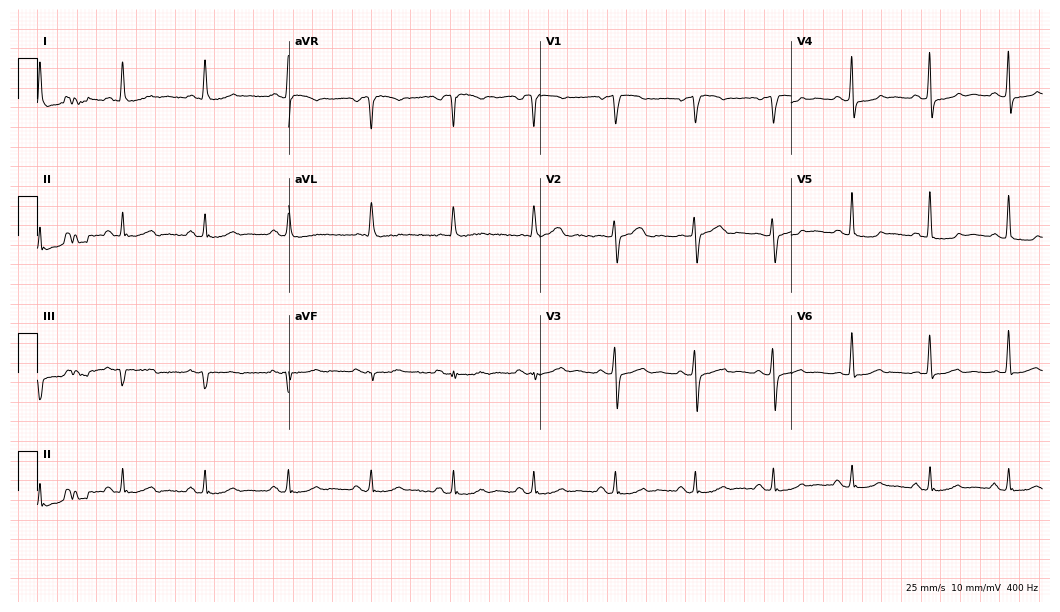
ECG — a 72-year-old female. Screened for six findings — first-degree AV block, right bundle branch block, left bundle branch block, sinus bradycardia, atrial fibrillation, sinus tachycardia — none is recorded.